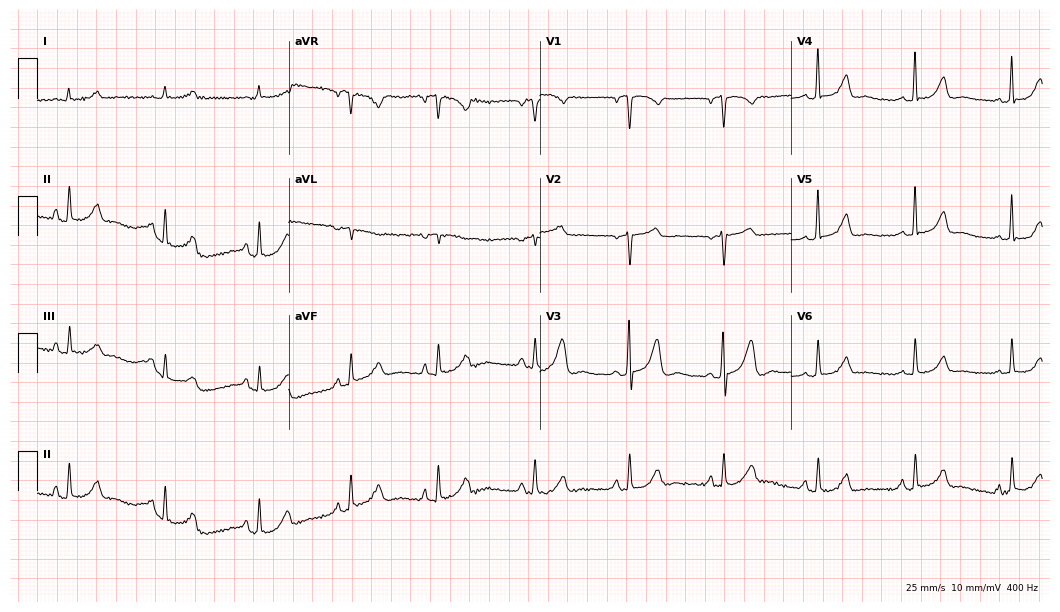
12-lead ECG (10.2-second recording at 400 Hz) from a female, 62 years old. Labelled as a normal ECG.